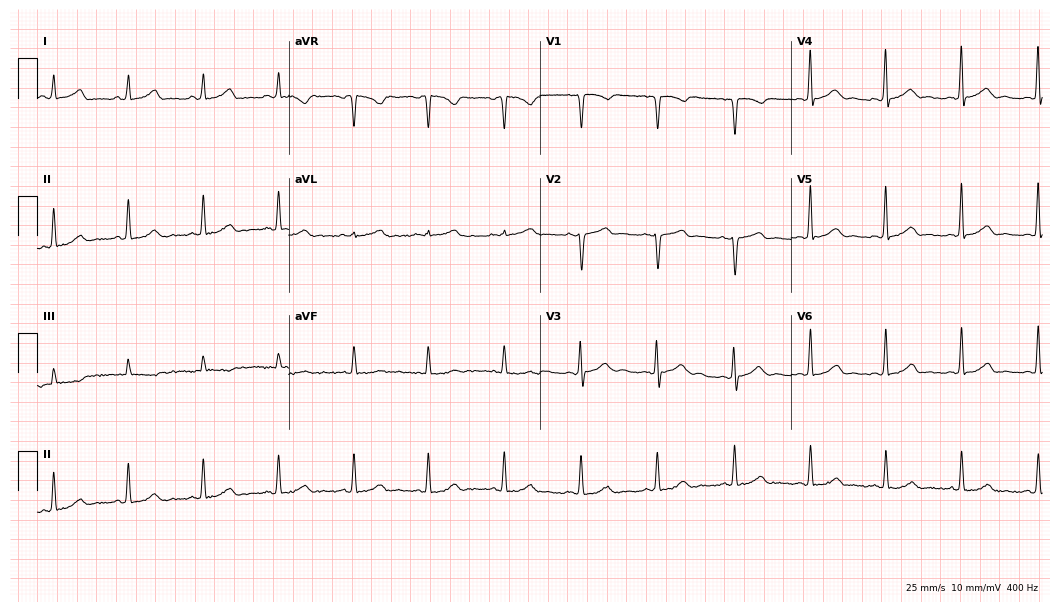
12-lead ECG (10.2-second recording at 400 Hz) from a 46-year-old female. Screened for six findings — first-degree AV block, right bundle branch block, left bundle branch block, sinus bradycardia, atrial fibrillation, sinus tachycardia — none is recorded.